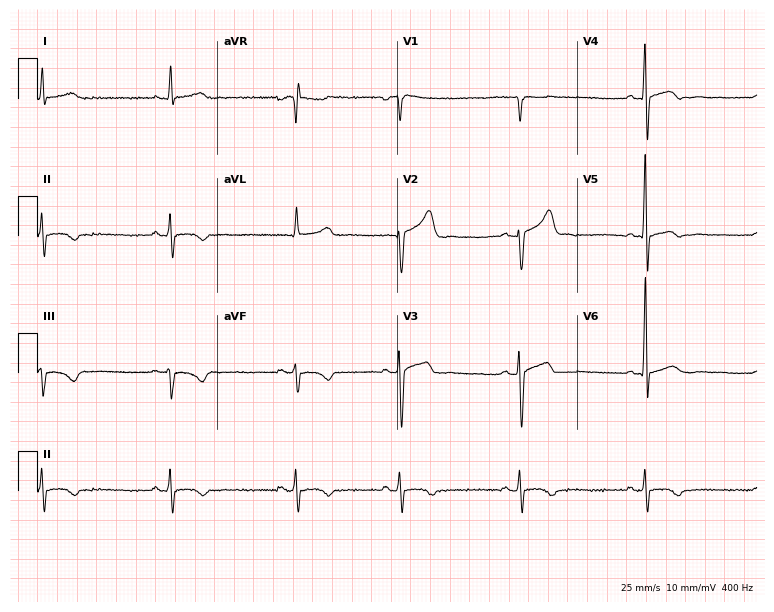
12-lead ECG from a man, 62 years old. Findings include sinus bradycardia (a sinus rate of 50 beats per minute or less).